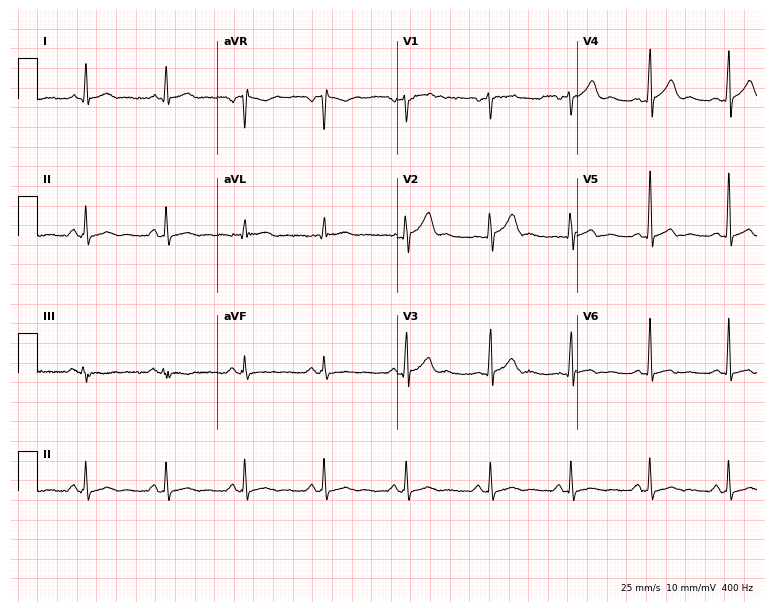
Resting 12-lead electrocardiogram. Patient: a 40-year-old male. None of these six findings is recorded: first-degree AV block, right bundle branch block, left bundle branch block, sinus bradycardia, atrial fibrillation, sinus tachycardia.